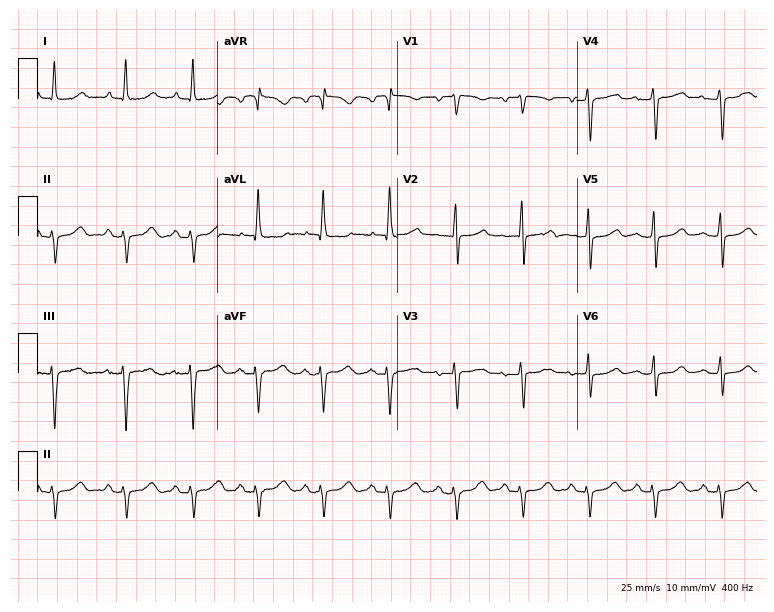
12-lead ECG from a female, 63 years old. No first-degree AV block, right bundle branch block, left bundle branch block, sinus bradycardia, atrial fibrillation or sinus tachycardia recorded for this tracing. Only these six findings were labelled.